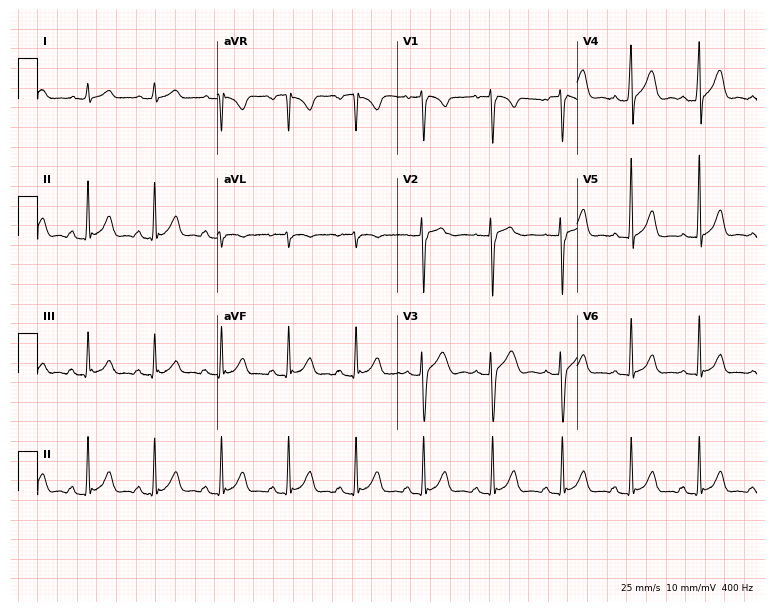
Resting 12-lead electrocardiogram. Patient: a male, 27 years old. None of these six findings is recorded: first-degree AV block, right bundle branch block, left bundle branch block, sinus bradycardia, atrial fibrillation, sinus tachycardia. Only these six findings were labelled.